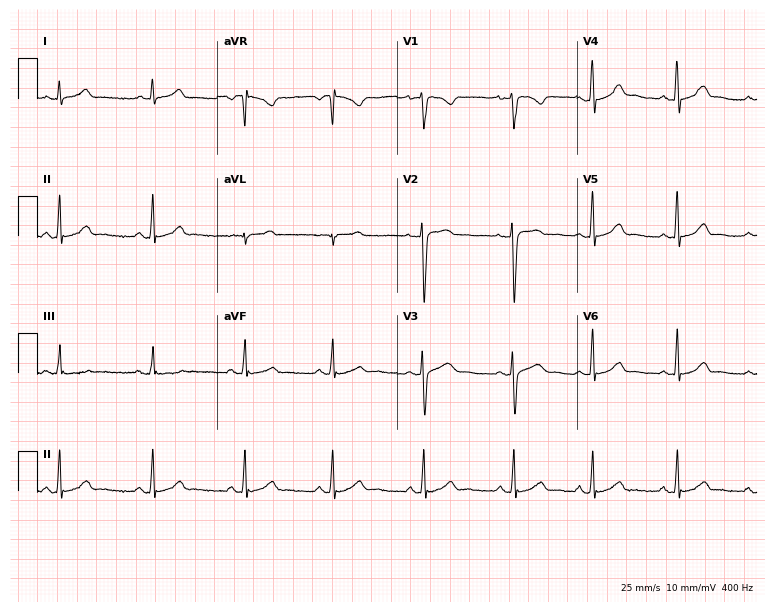
ECG (7.3-second recording at 400 Hz) — a 32-year-old female. Labelled as a normal ECG.